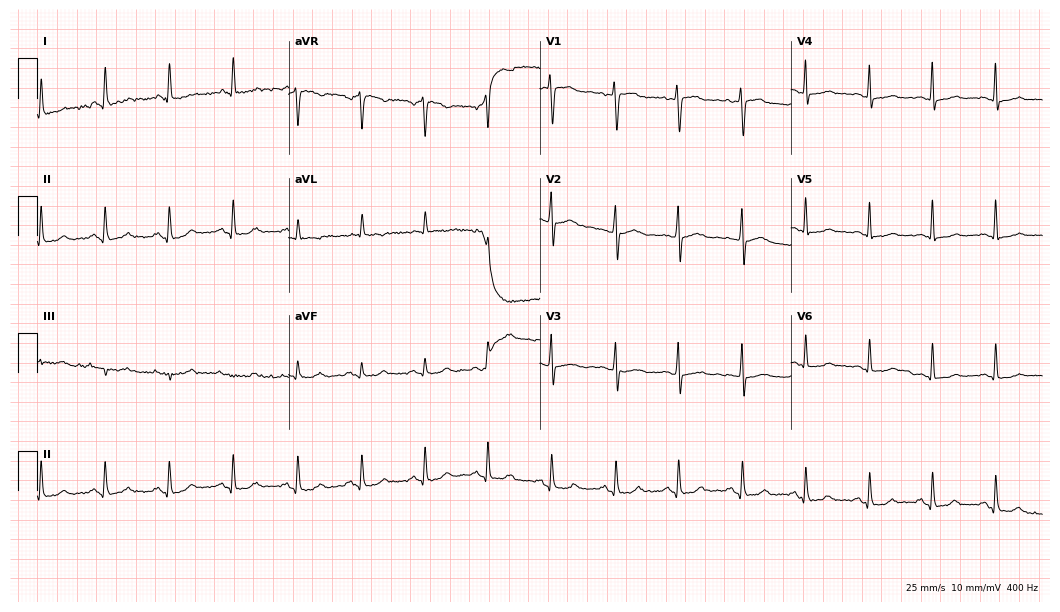
12-lead ECG (10.2-second recording at 400 Hz) from a 48-year-old female. Labelled as a normal ECG.